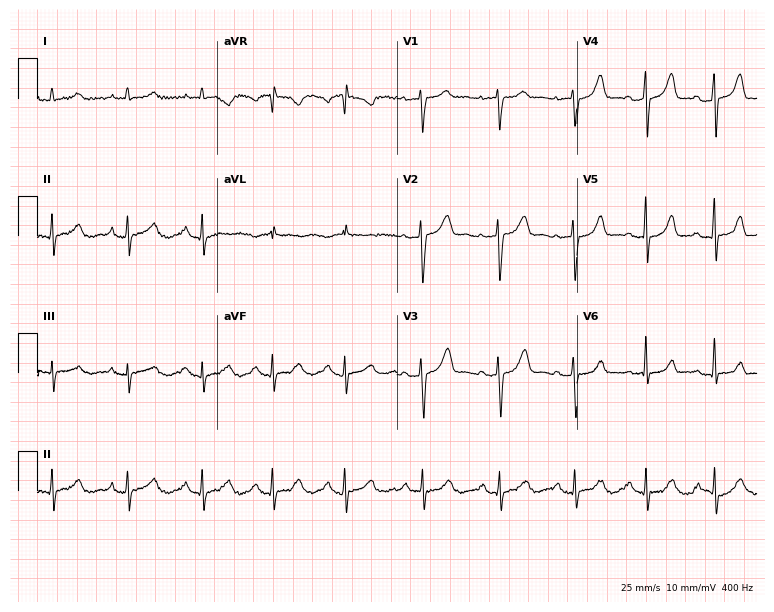
ECG — a woman, 44 years old. Screened for six findings — first-degree AV block, right bundle branch block (RBBB), left bundle branch block (LBBB), sinus bradycardia, atrial fibrillation (AF), sinus tachycardia — none is recorded.